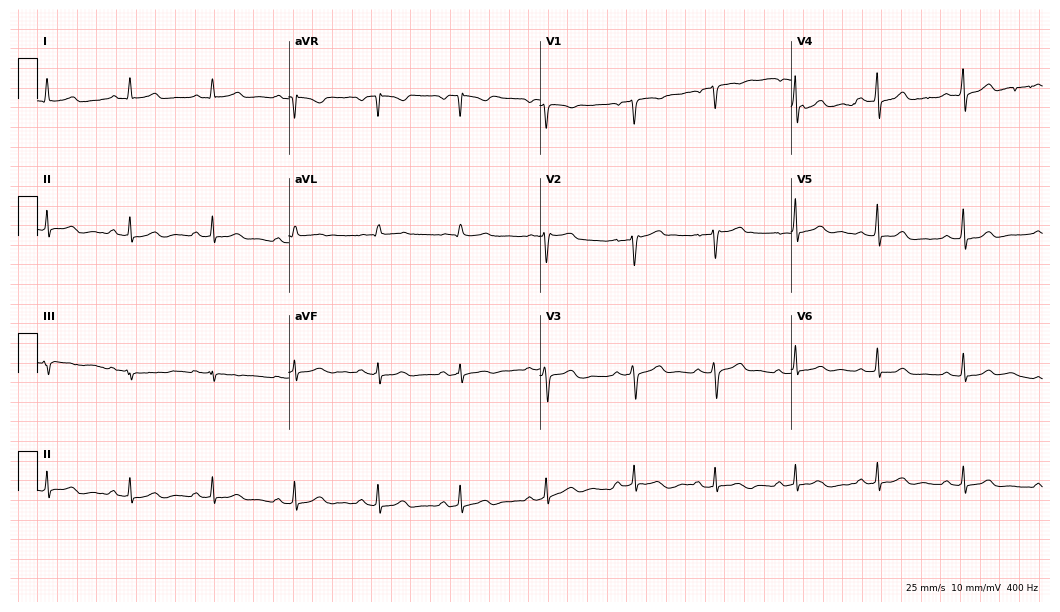
Standard 12-lead ECG recorded from a 39-year-old male patient. Read as a normal ECG.